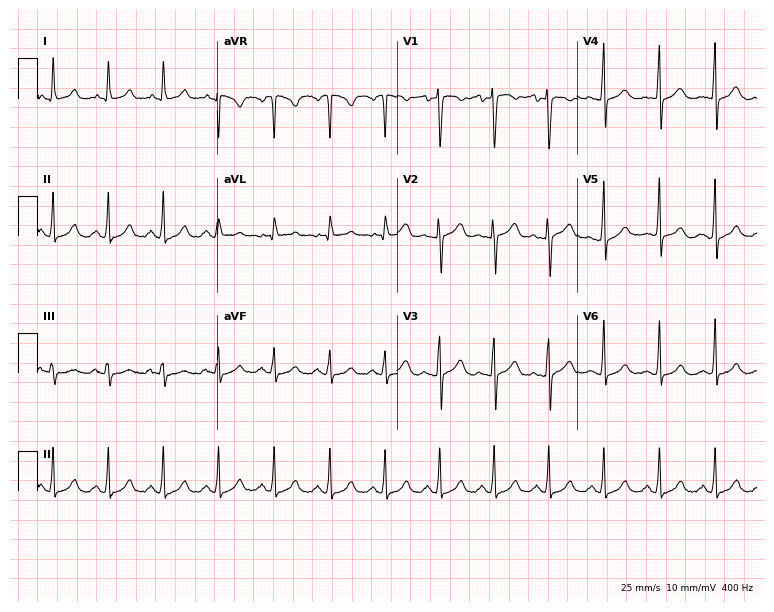
ECG (7.3-second recording at 400 Hz) — a female, 22 years old. Findings include sinus tachycardia (a sinus rate of 100 beats per minute or more).